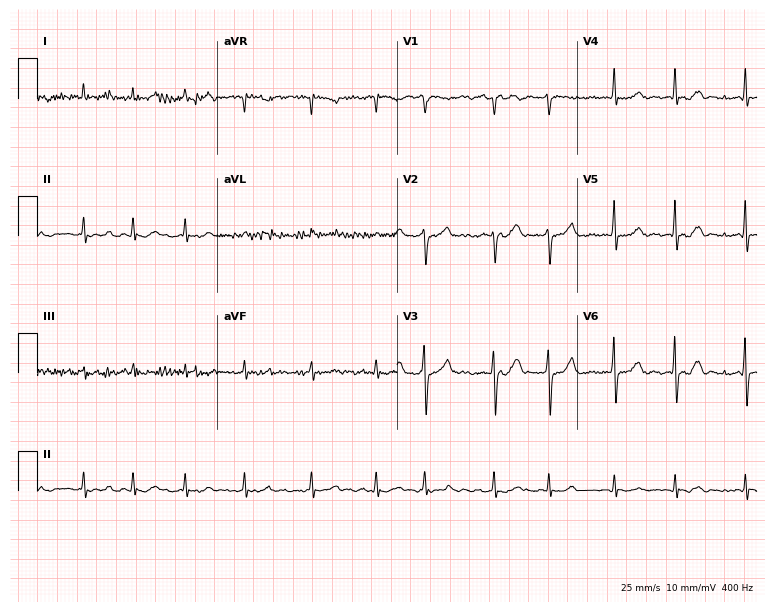
Resting 12-lead electrocardiogram. Patient: a male, 87 years old. None of these six findings is recorded: first-degree AV block, right bundle branch block, left bundle branch block, sinus bradycardia, atrial fibrillation, sinus tachycardia. Other findings, if any, are not listed.